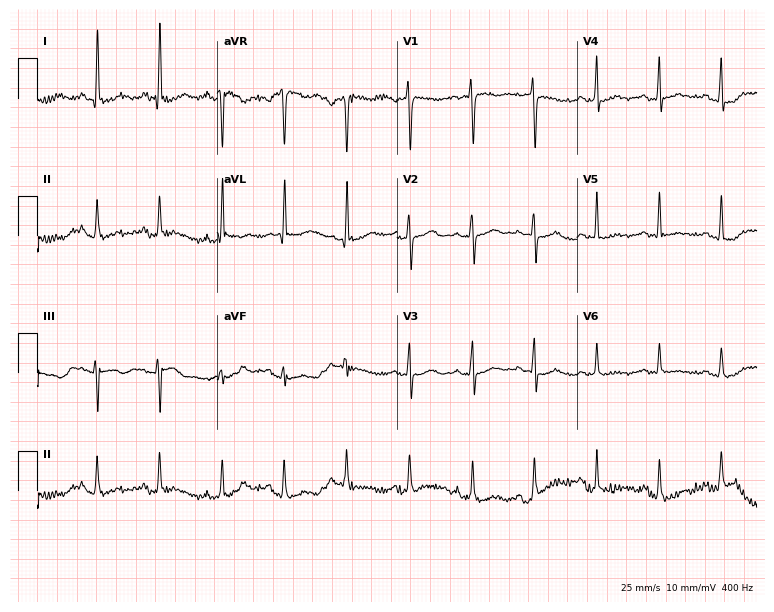
ECG — a woman, 47 years old. Screened for six findings — first-degree AV block, right bundle branch block, left bundle branch block, sinus bradycardia, atrial fibrillation, sinus tachycardia — none is recorded.